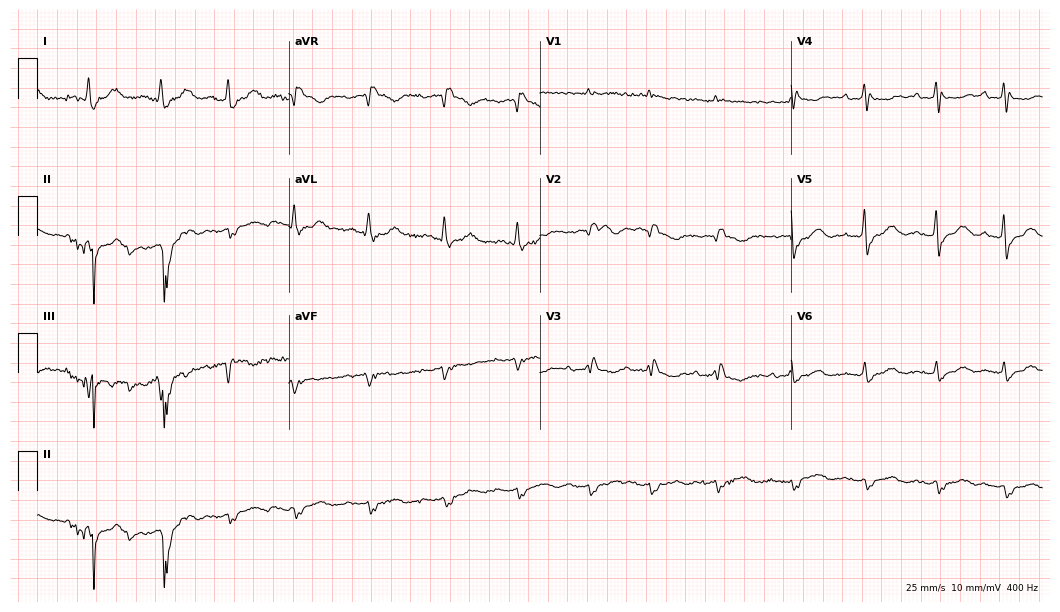
Resting 12-lead electrocardiogram (10.2-second recording at 400 Hz). Patient: a 77-year-old female. None of these six findings is recorded: first-degree AV block, right bundle branch block (RBBB), left bundle branch block (LBBB), sinus bradycardia, atrial fibrillation (AF), sinus tachycardia. Other findings, if any, are not listed.